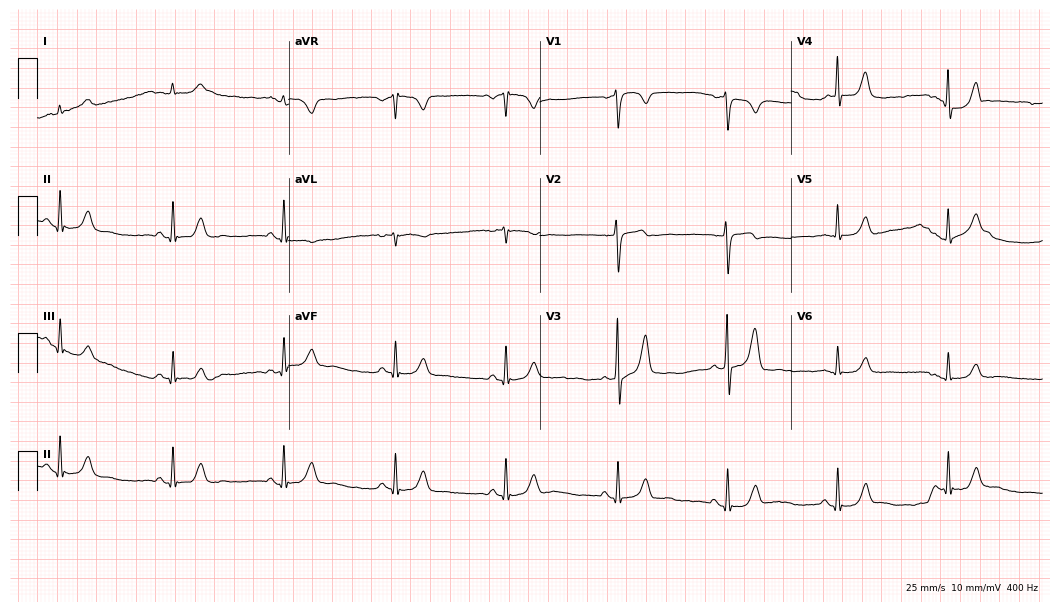
Electrocardiogram, a 65-year-old male. Of the six screened findings (first-degree AV block, right bundle branch block (RBBB), left bundle branch block (LBBB), sinus bradycardia, atrial fibrillation (AF), sinus tachycardia), none is recorded.